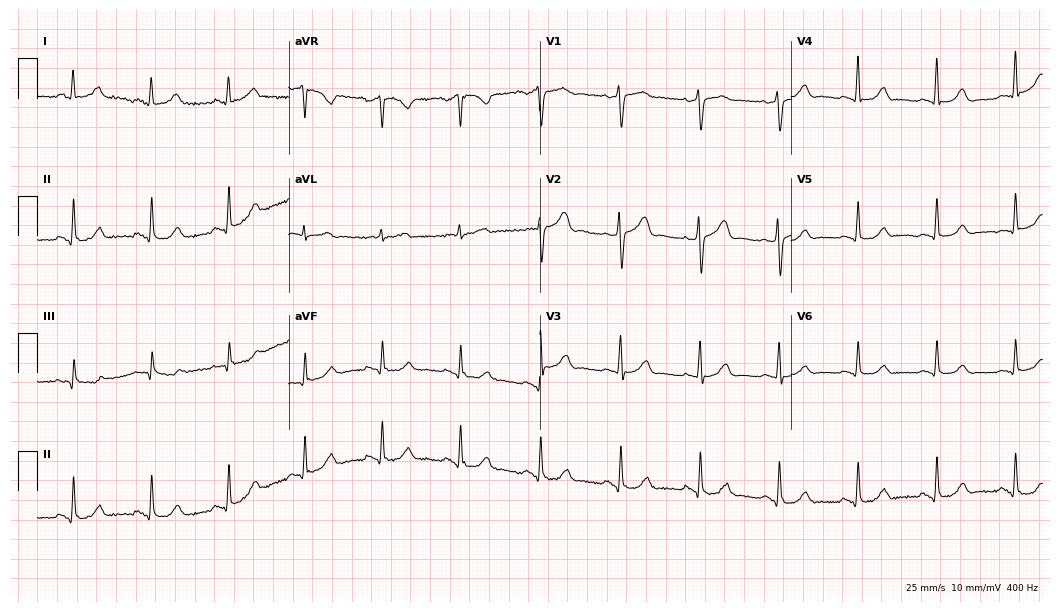
Resting 12-lead electrocardiogram. Patient: a 61-year-old female. None of these six findings is recorded: first-degree AV block, right bundle branch block, left bundle branch block, sinus bradycardia, atrial fibrillation, sinus tachycardia.